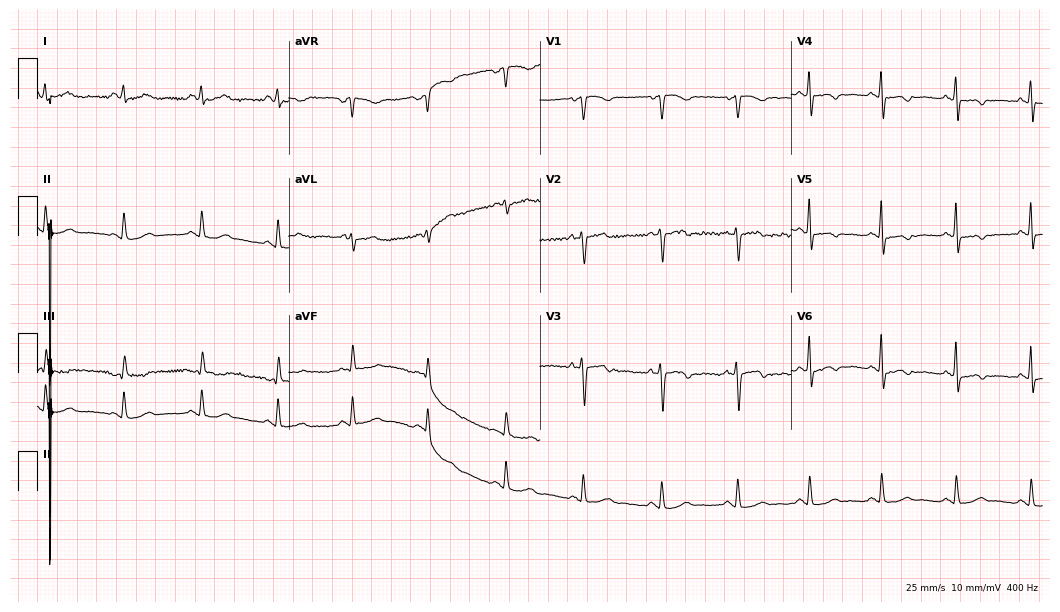
Resting 12-lead electrocardiogram. Patient: a woman, 49 years old. None of these six findings is recorded: first-degree AV block, right bundle branch block, left bundle branch block, sinus bradycardia, atrial fibrillation, sinus tachycardia.